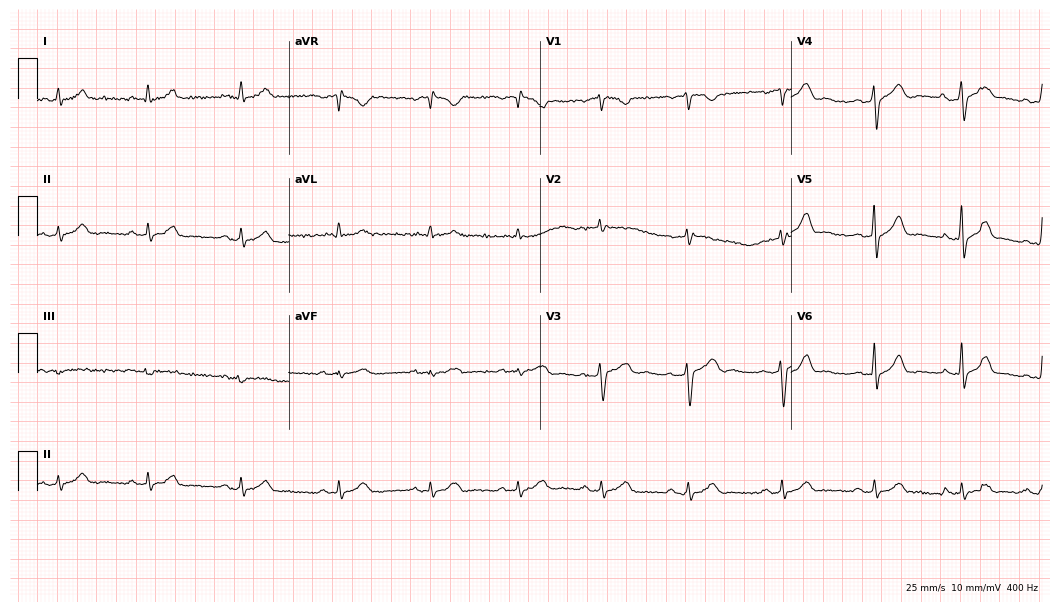
Electrocardiogram, a man, 43 years old. Overall reading on record: normal ECG.